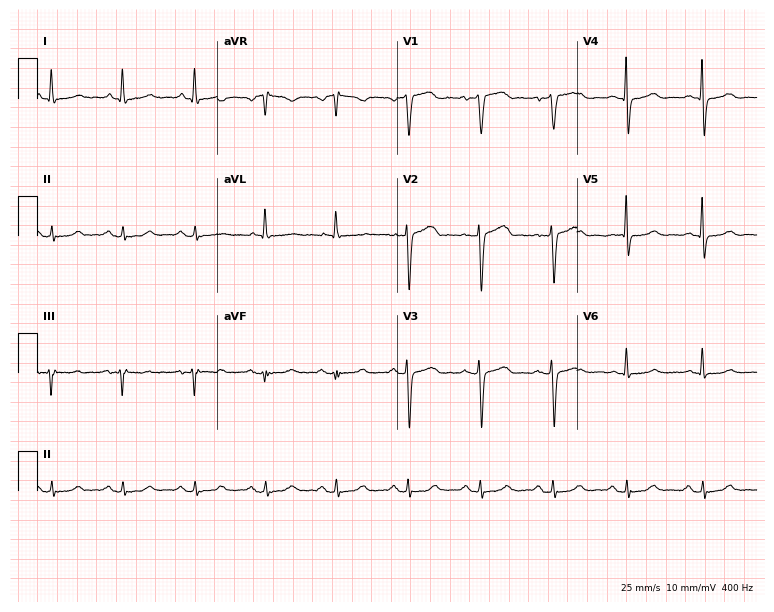
ECG — a 57-year-old female. Labelled as a normal ECG.